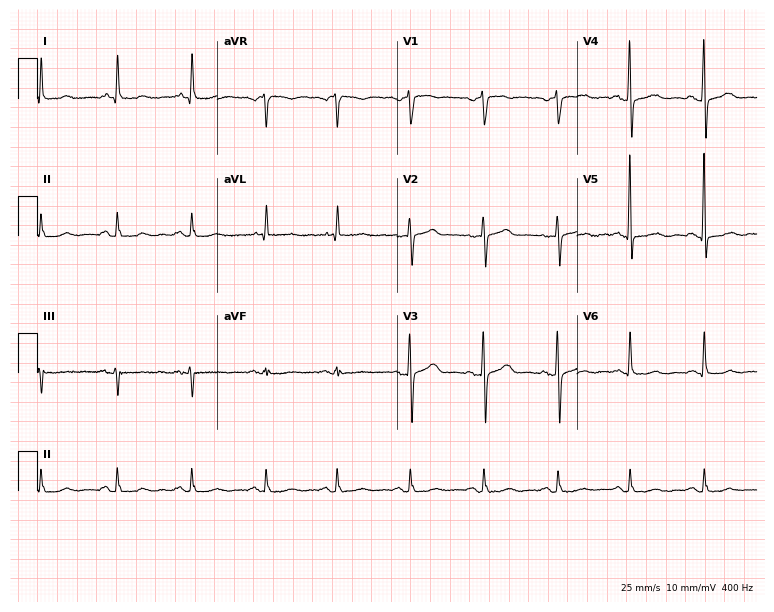
Resting 12-lead electrocardiogram. Patient: a 76-year-old man. None of these six findings is recorded: first-degree AV block, right bundle branch block, left bundle branch block, sinus bradycardia, atrial fibrillation, sinus tachycardia. Other findings, if any, are not listed.